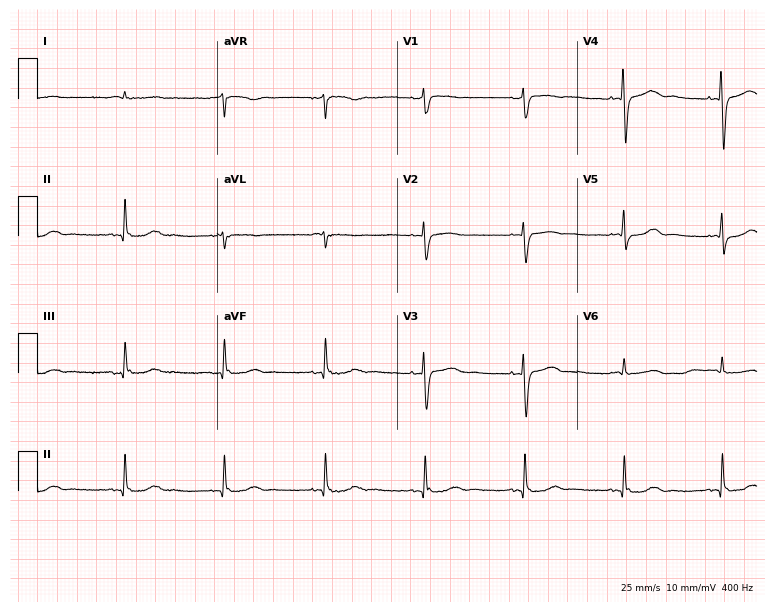
Standard 12-lead ECG recorded from an 84-year-old man (7.3-second recording at 400 Hz). None of these six findings is recorded: first-degree AV block, right bundle branch block, left bundle branch block, sinus bradycardia, atrial fibrillation, sinus tachycardia.